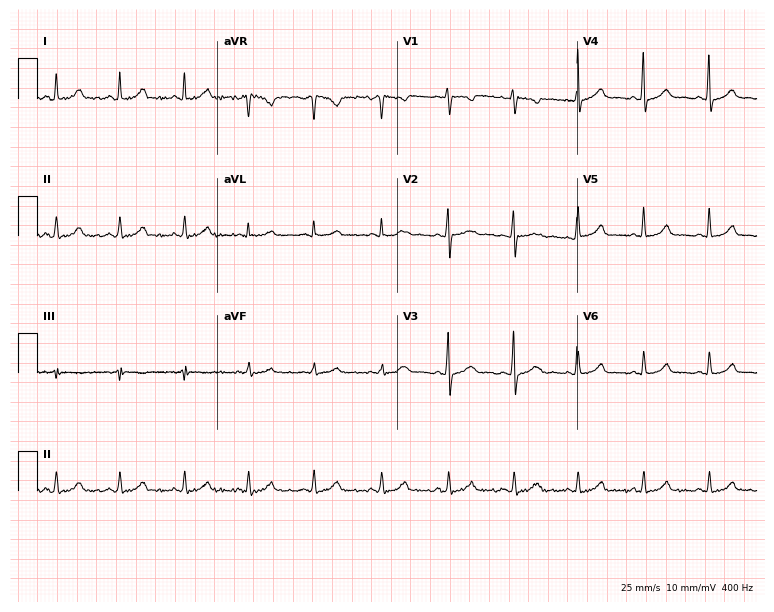
Standard 12-lead ECG recorded from a female, 37 years old (7.3-second recording at 400 Hz). None of these six findings is recorded: first-degree AV block, right bundle branch block, left bundle branch block, sinus bradycardia, atrial fibrillation, sinus tachycardia.